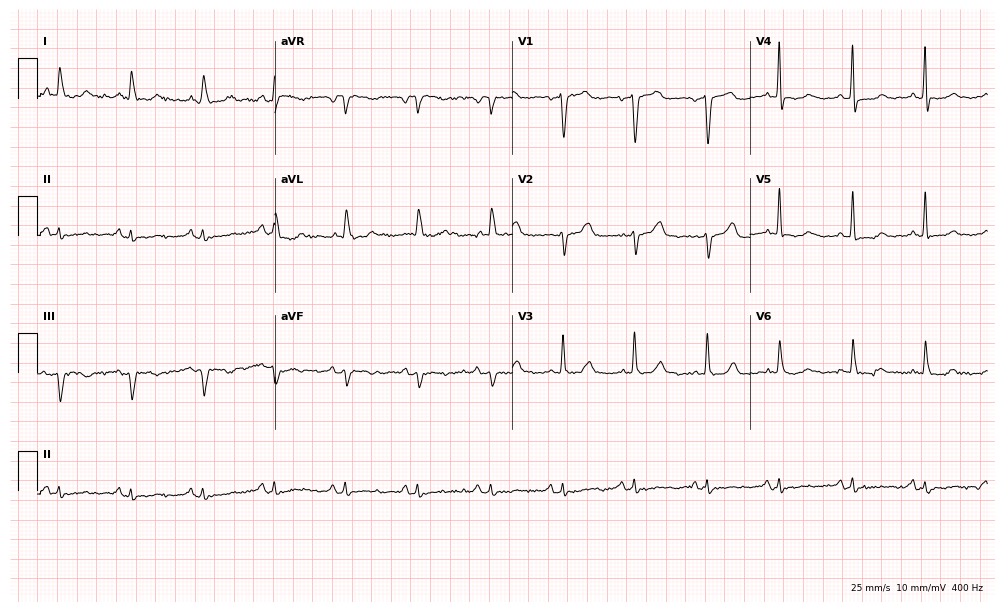
ECG — an 84-year-old female. Screened for six findings — first-degree AV block, right bundle branch block (RBBB), left bundle branch block (LBBB), sinus bradycardia, atrial fibrillation (AF), sinus tachycardia — none is recorded.